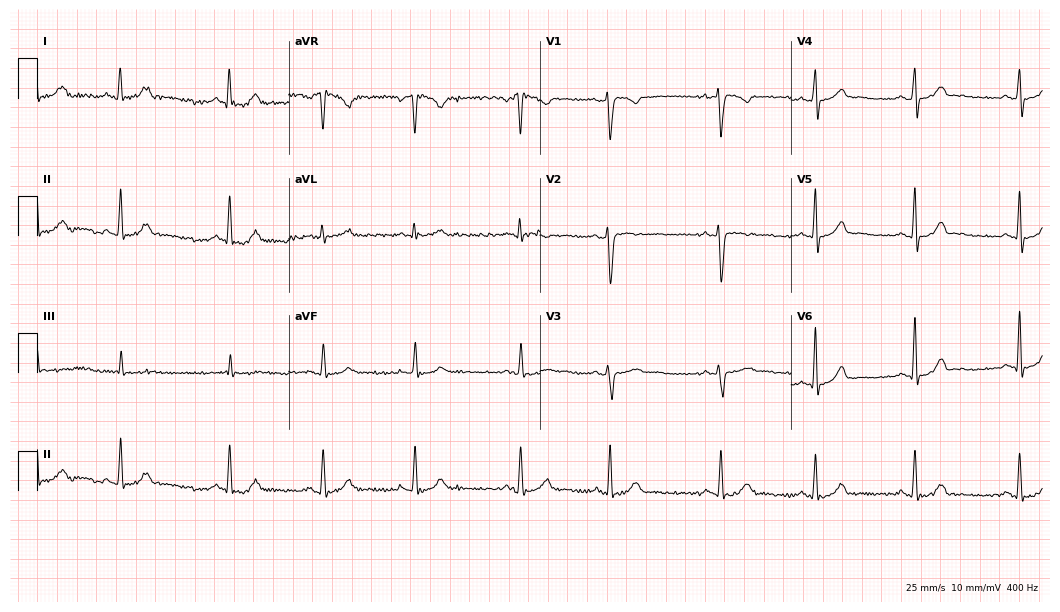
Electrocardiogram (10.2-second recording at 400 Hz), a 17-year-old female. Overall reading on record: normal ECG.